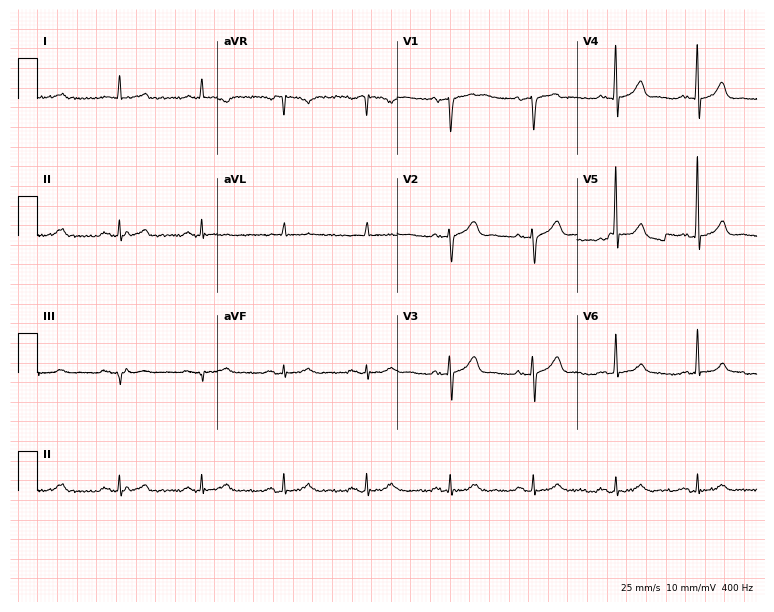
12-lead ECG from a 72-year-old male patient. Labelled as a normal ECG.